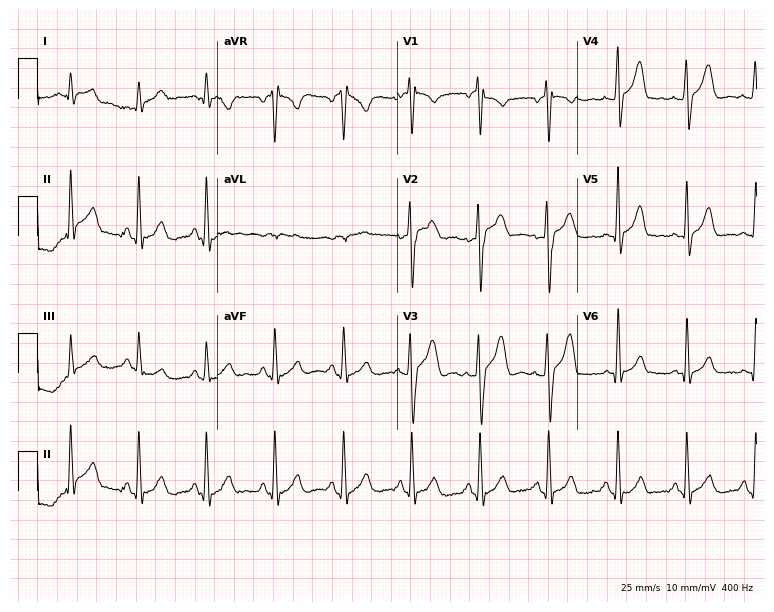
ECG (7.3-second recording at 400 Hz) — a 32-year-old male patient. Labelled as a normal ECG.